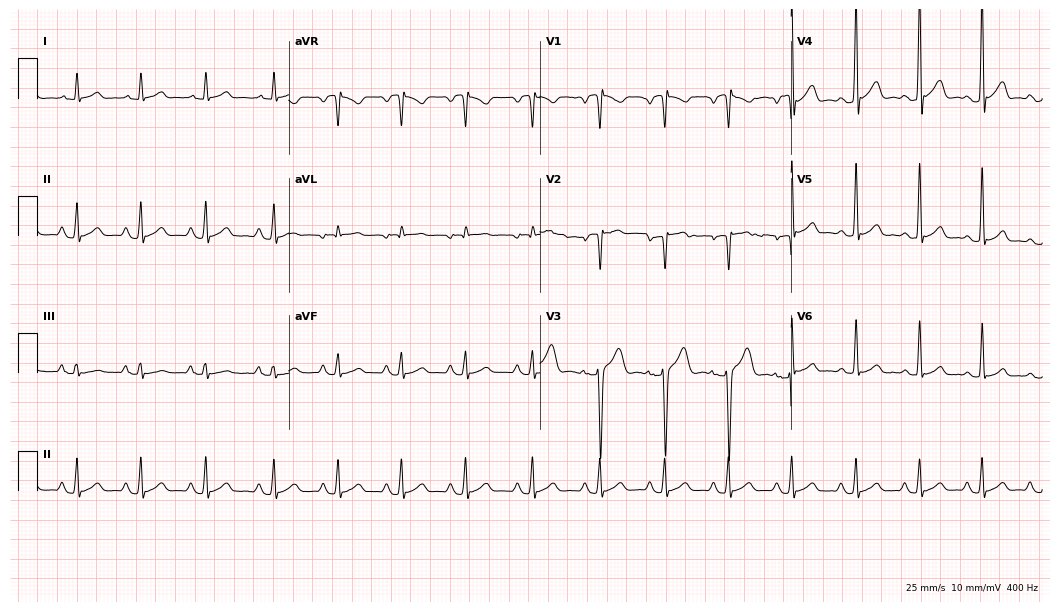
Electrocardiogram (10.2-second recording at 400 Hz), a 39-year-old man. Overall reading on record: normal ECG.